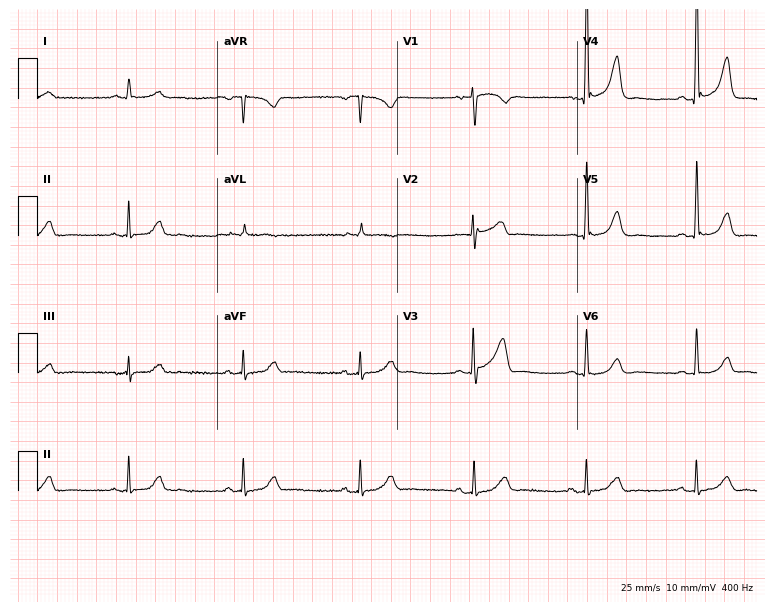
Electrocardiogram (7.3-second recording at 400 Hz), a 66-year-old man. Of the six screened findings (first-degree AV block, right bundle branch block, left bundle branch block, sinus bradycardia, atrial fibrillation, sinus tachycardia), none is recorded.